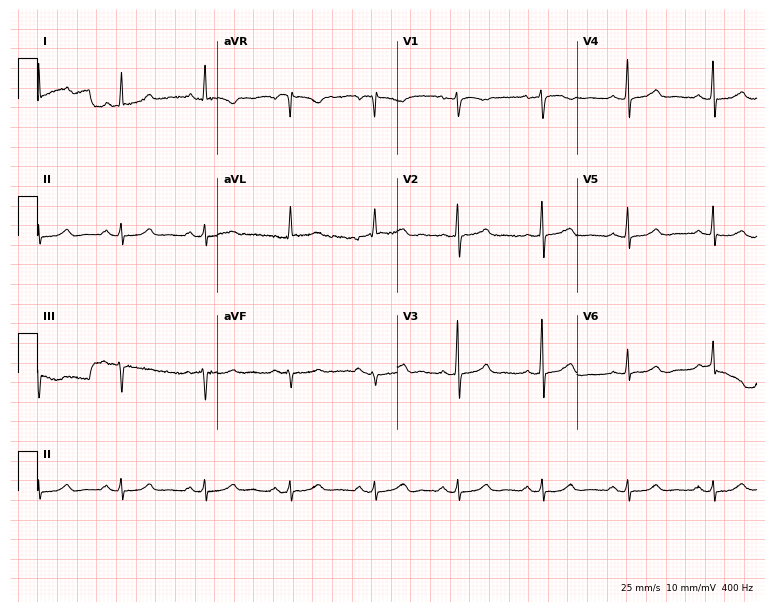
Electrocardiogram, a female patient, 69 years old. Overall reading on record: normal ECG.